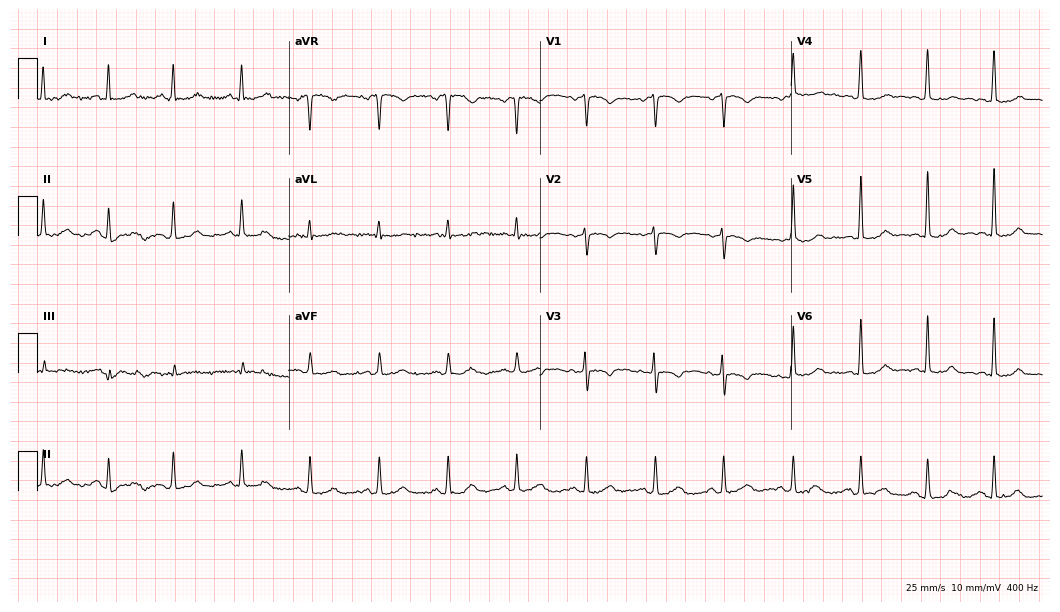
12-lead ECG from a woman, 48 years old (10.2-second recording at 400 Hz). No first-degree AV block, right bundle branch block, left bundle branch block, sinus bradycardia, atrial fibrillation or sinus tachycardia recorded for this tracing.